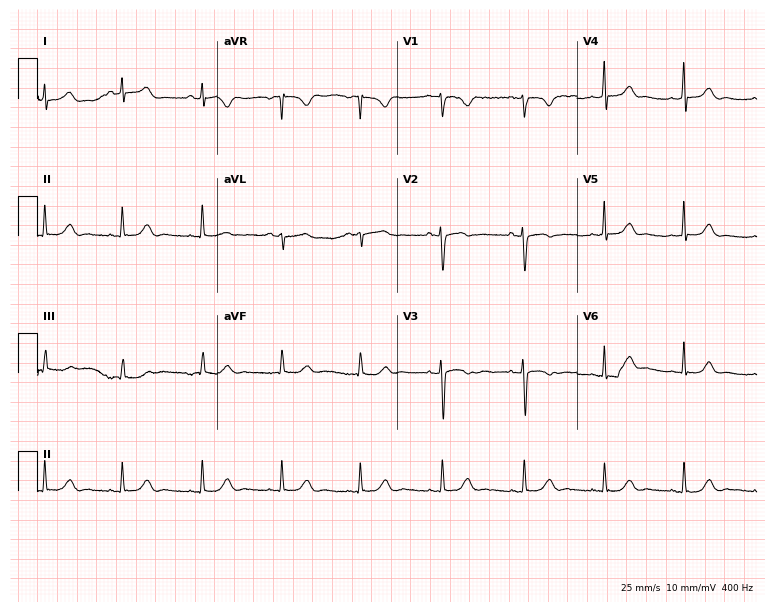
Resting 12-lead electrocardiogram. Patient: a 19-year-old female. Read as a normal ECG.